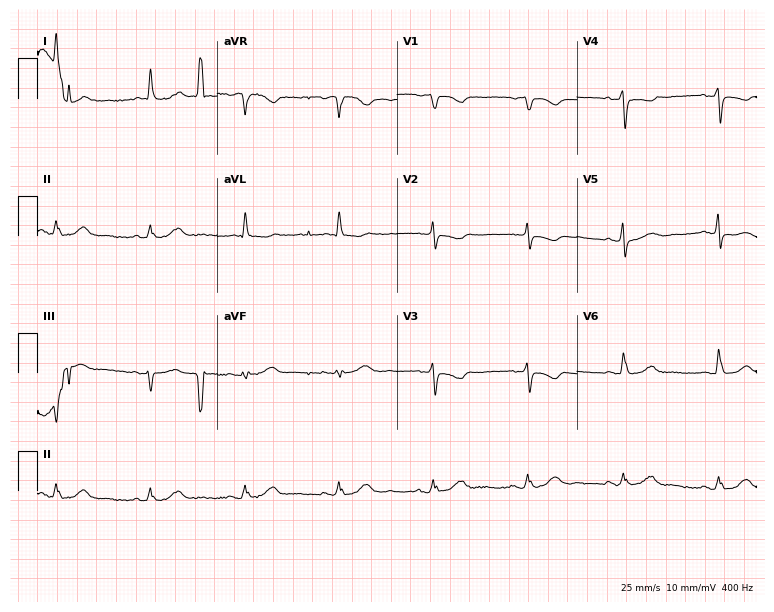
Electrocardiogram (7.3-second recording at 400 Hz), a female, 81 years old. Of the six screened findings (first-degree AV block, right bundle branch block (RBBB), left bundle branch block (LBBB), sinus bradycardia, atrial fibrillation (AF), sinus tachycardia), none is recorded. Only these six findings were labelled.